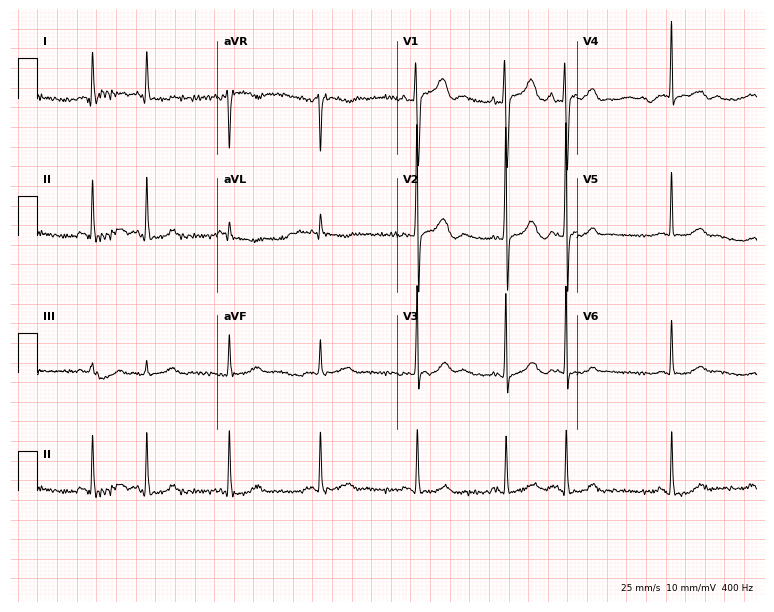
Standard 12-lead ECG recorded from a man, 79 years old. None of these six findings is recorded: first-degree AV block, right bundle branch block, left bundle branch block, sinus bradycardia, atrial fibrillation, sinus tachycardia. Findings outside these six are not listed.